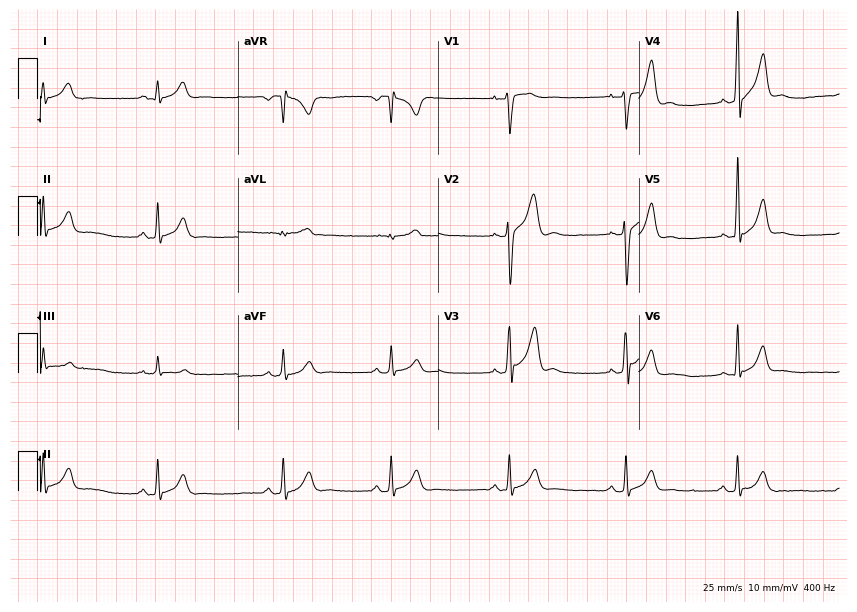
12-lead ECG (8.2-second recording at 400 Hz) from a man, 17 years old. Labelled as a normal ECG.